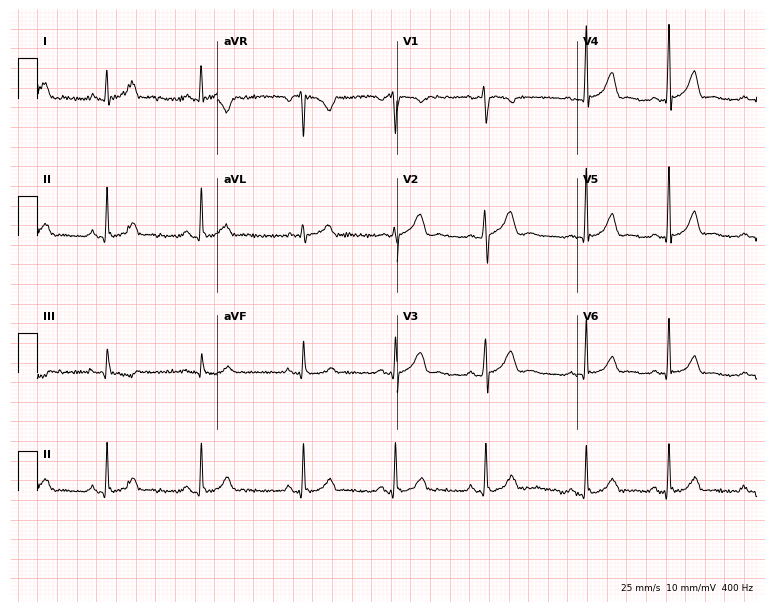
Electrocardiogram, a 26-year-old female. Overall reading on record: normal ECG.